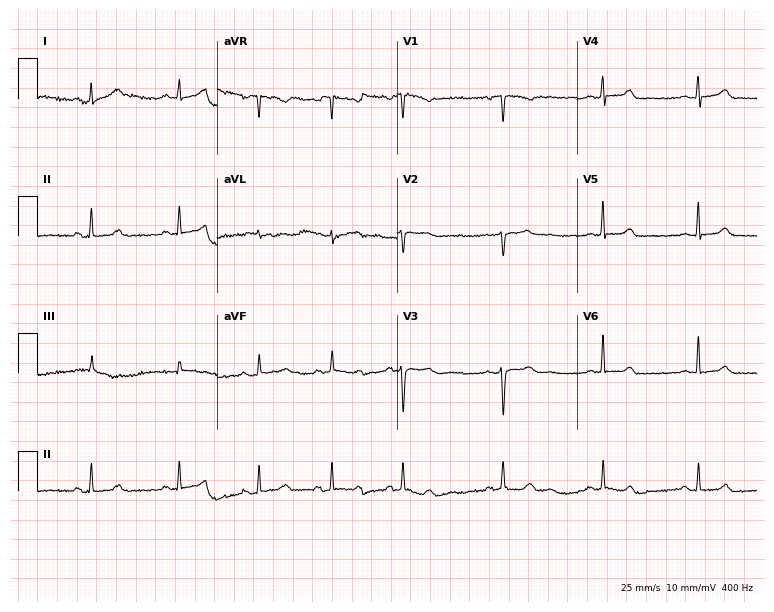
Resting 12-lead electrocardiogram (7.3-second recording at 400 Hz). Patient: a female, 41 years old. None of these six findings is recorded: first-degree AV block, right bundle branch block, left bundle branch block, sinus bradycardia, atrial fibrillation, sinus tachycardia.